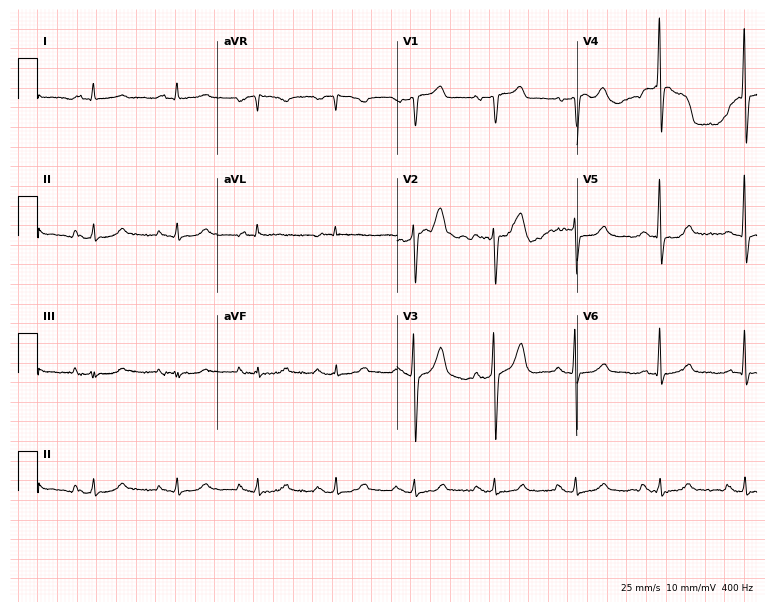
Resting 12-lead electrocardiogram. Patient: a male, 70 years old. None of these six findings is recorded: first-degree AV block, right bundle branch block, left bundle branch block, sinus bradycardia, atrial fibrillation, sinus tachycardia. Other findings, if any, are not listed.